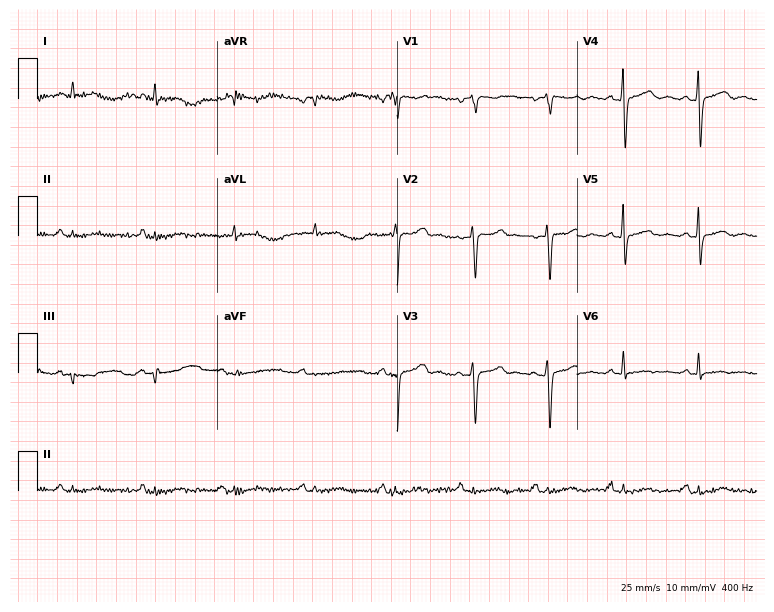
12-lead ECG from a female patient, 58 years old. Screened for six findings — first-degree AV block, right bundle branch block, left bundle branch block, sinus bradycardia, atrial fibrillation, sinus tachycardia — none is recorded.